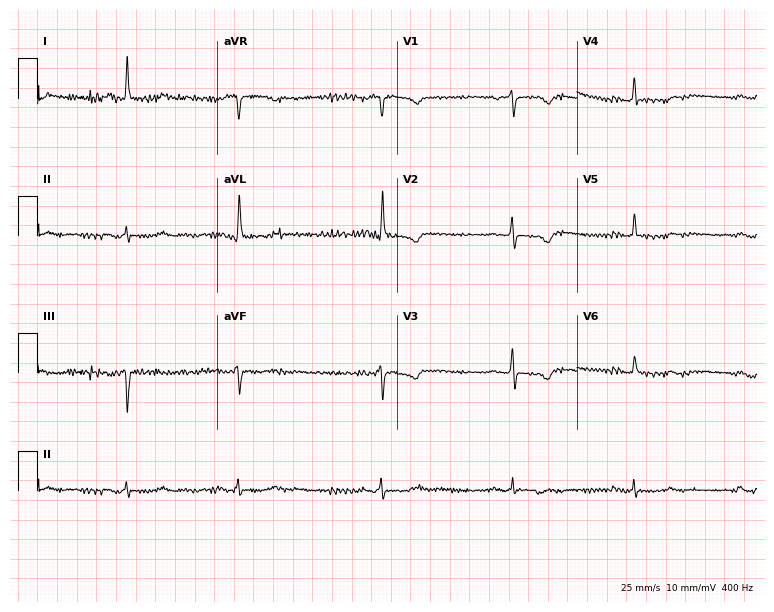
Standard 12-lead ECG recorded from a female, 73 years old. None of these six findings is recorded: first-degree AV block, right bundle branch block, left bundle branch block, sinus bradycardia, atrial fibrillation, sinus tachycardia. Findings outside these six are not listed.